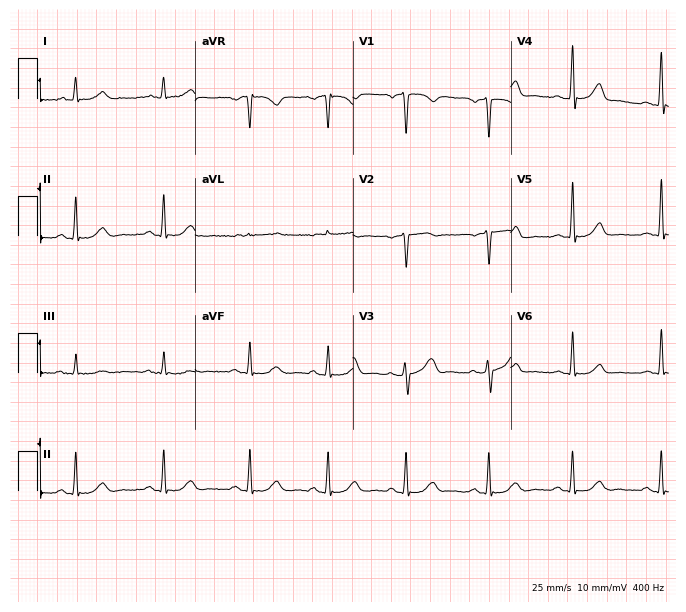
ECG (6.4-second recording at 400 Hz) — a male patient, 51 years old. Screened for six findings — first-degree AV block, right bundle branch block, left bundle branch block, sinus bradycardia, atrial fibrillation, sinus tachycardia — none is recorded. Other findings, if any, are not listed.